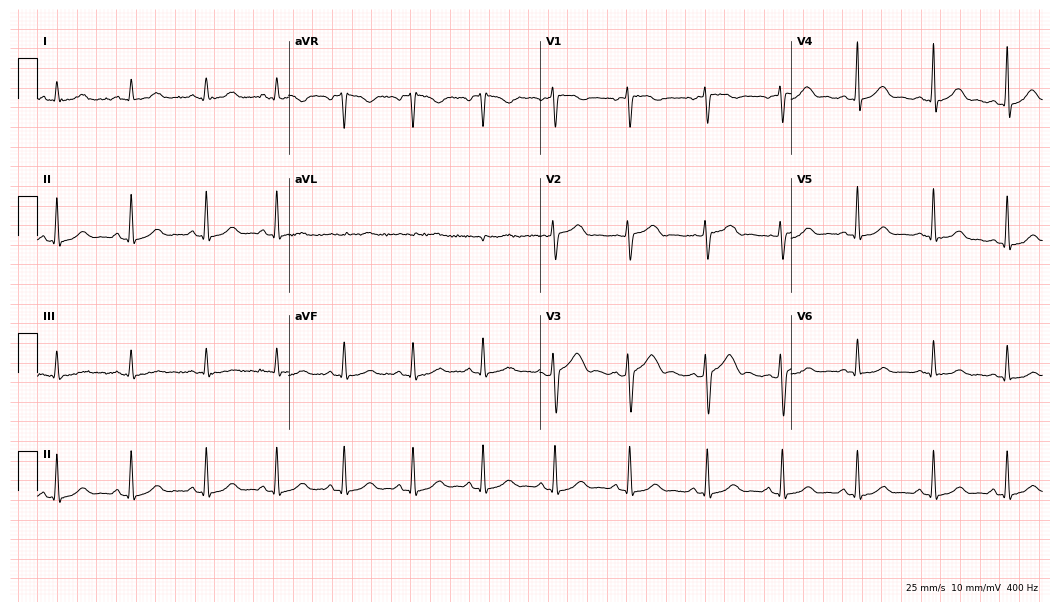
Standard 12-lead ECG recorded from a 37-year-old male (10.2-second recording at 400 Hz). Read as a normal ECG.